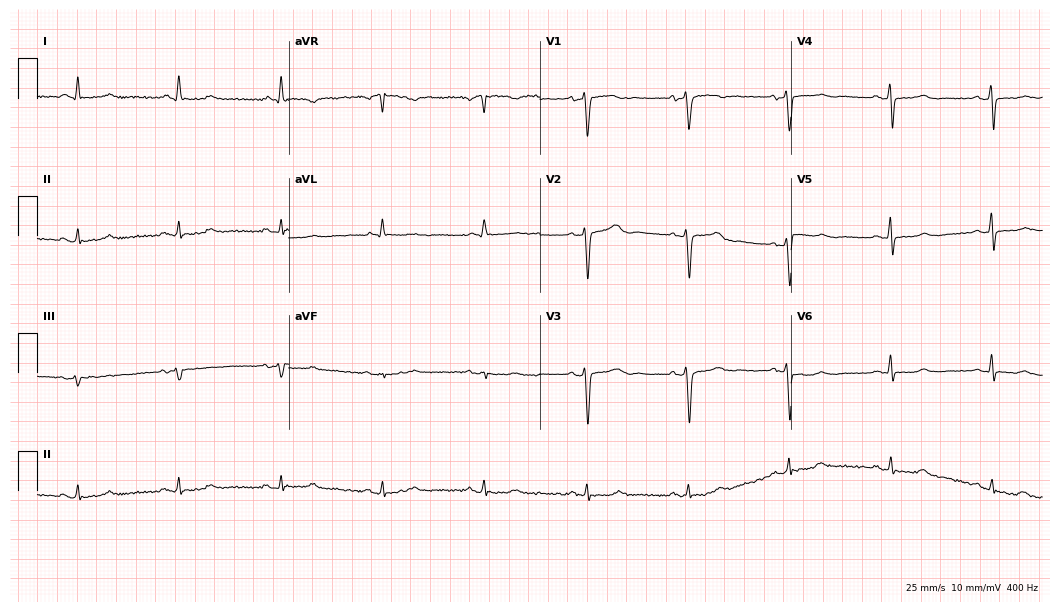
Resting 12-lead electrocardiogram. Patient: a 65-year-old woman. None of these six findings is recorded: first-degree AV block, right bundle branch block, left bundle branch block, sinus bradycardia, atrial fibrillation, sinus tachycardia.